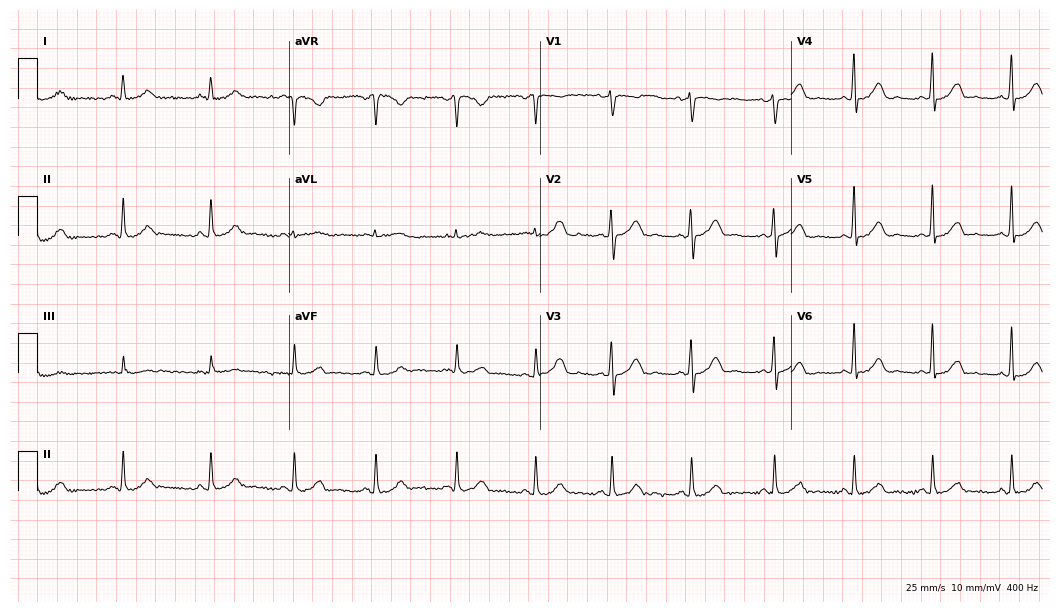
Resting 12-lead electrocardiogram (10.2-second recording at 400 Hz). Patient: a 43-year-old female. Read as a normal ECG.